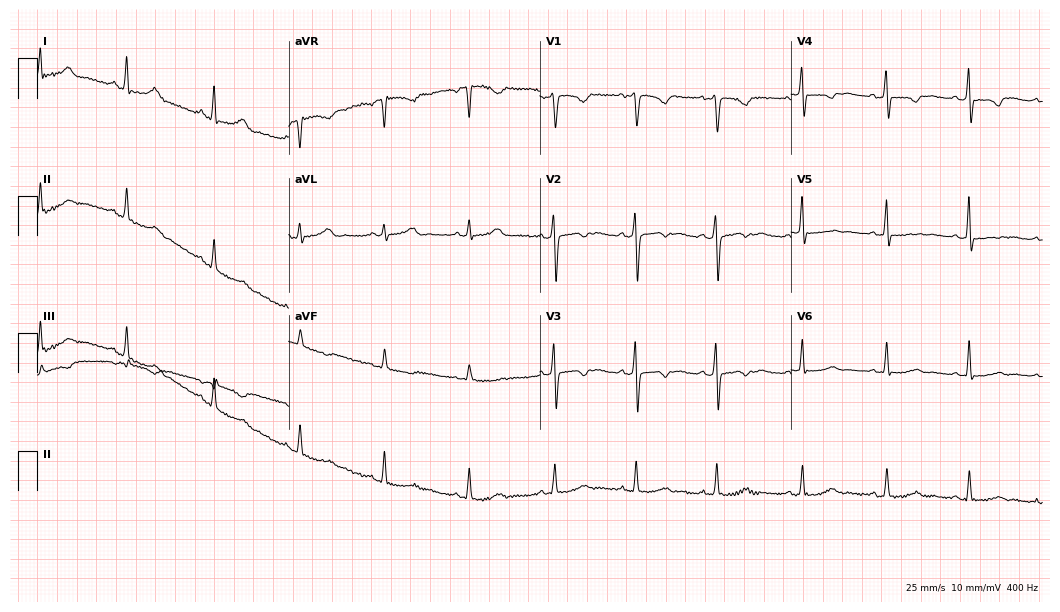
Resting 12-lead electrocardiogram (10.2-second recording at 400 Hz). Patient: a female, 36 years old. None of these six findings is recorded: first-degree AV block, right bundle branch block, left bundle branch block, sinus bradycardia, atrial fibrillation, sinus tachycardia.